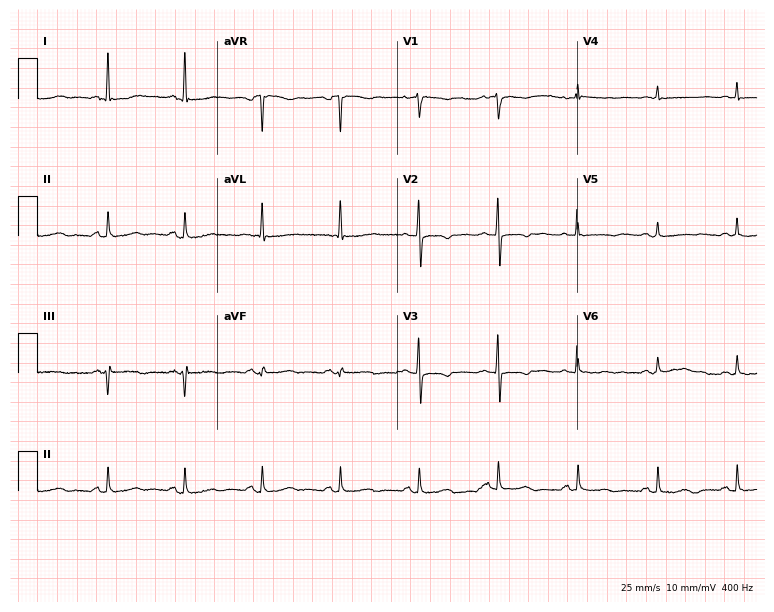
Resting 12-lead electrocardiogram (7.3-second recording at 400 Hz). Patient: a 57-year-old woman. None of these six findings is recorded: first-degree AV block, right bundle branch block, left bundle branch block, sinus bradycardia, atrial fibrillation, sinus tachycardia. Only these six findings were labelled.